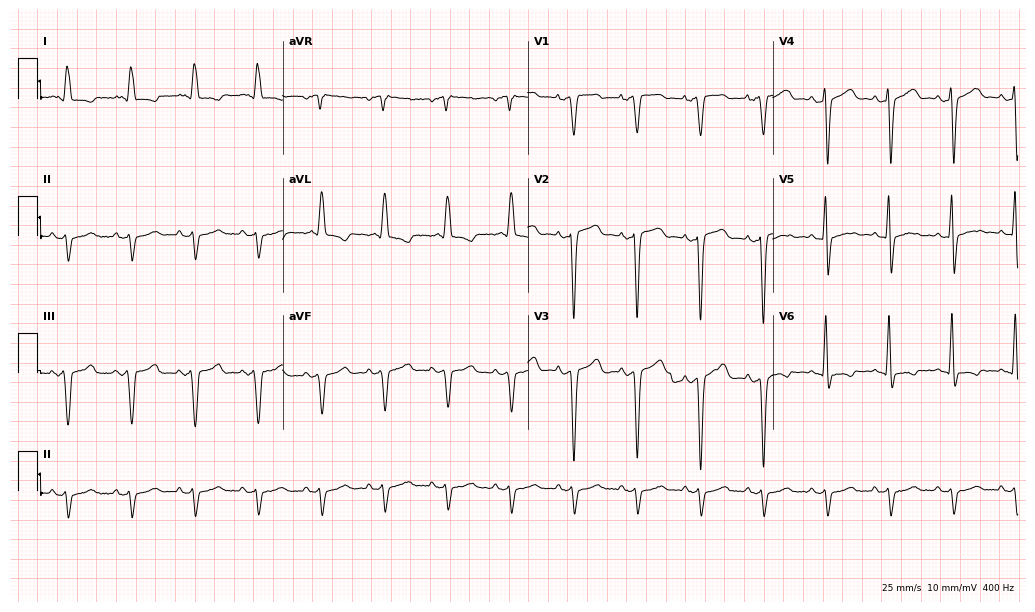
Standard 12-lead ECG recorded from a male, 67 years old. None of these six findings is recorded: first-degree AV block, right bundle branch block, left bundle branch block, sinus bradycardia, atrial fibrillation, sinus tachycardia.